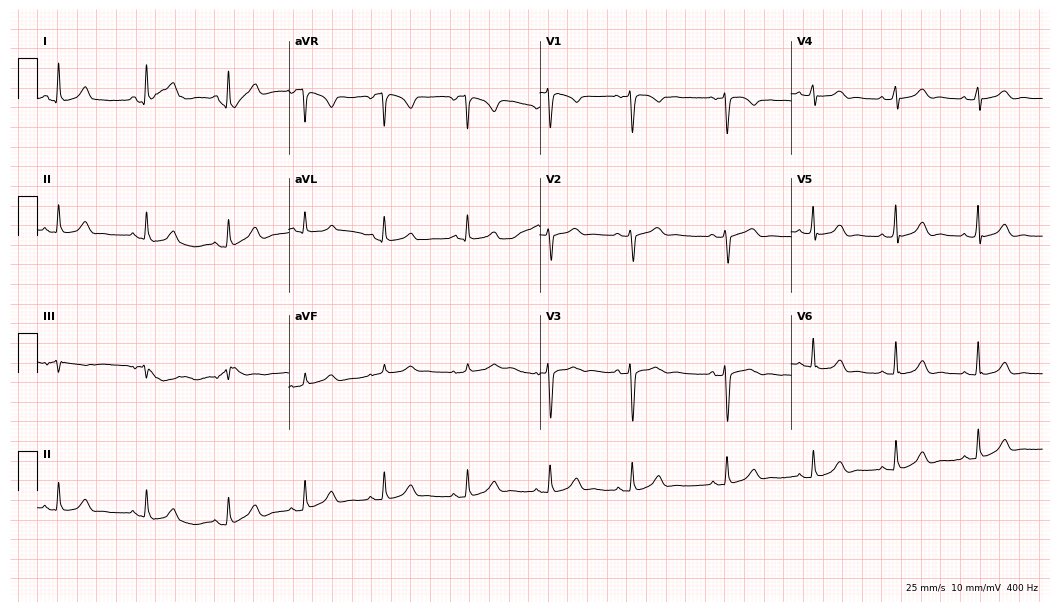
12-lead ECG from a female patient, 35 years old. Recorded interpretation: within normal limits.